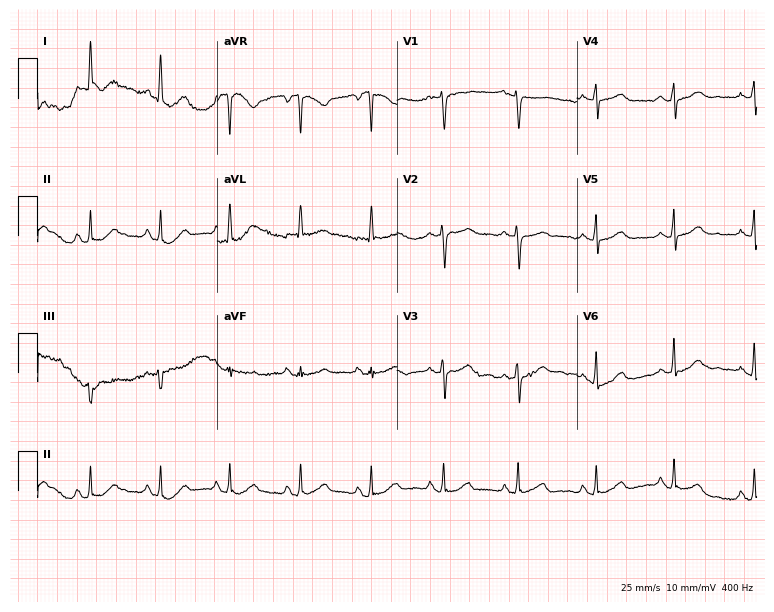
12-lead ECG from a 61-year-old woman (7.3-second recording at 400 Hz). Recorded interpretation: within normal limits.